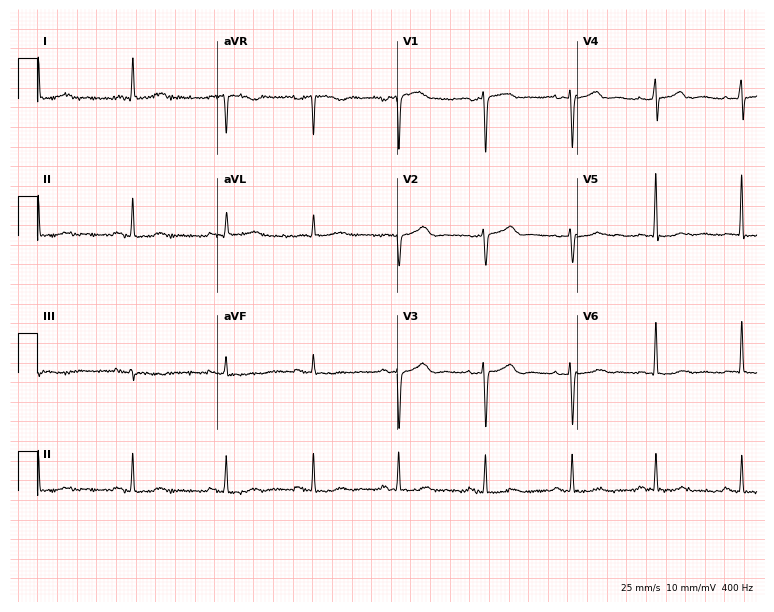
12-lead ECG (7.3-second recording at 400 Hz) from a 60-year-old female patient. Screened for six findings — first-degree AV block, right bundle branch block, left bundle branch block, sinus bradycardia, atrial fibrillation, sinus tachycardia — none is recorded.